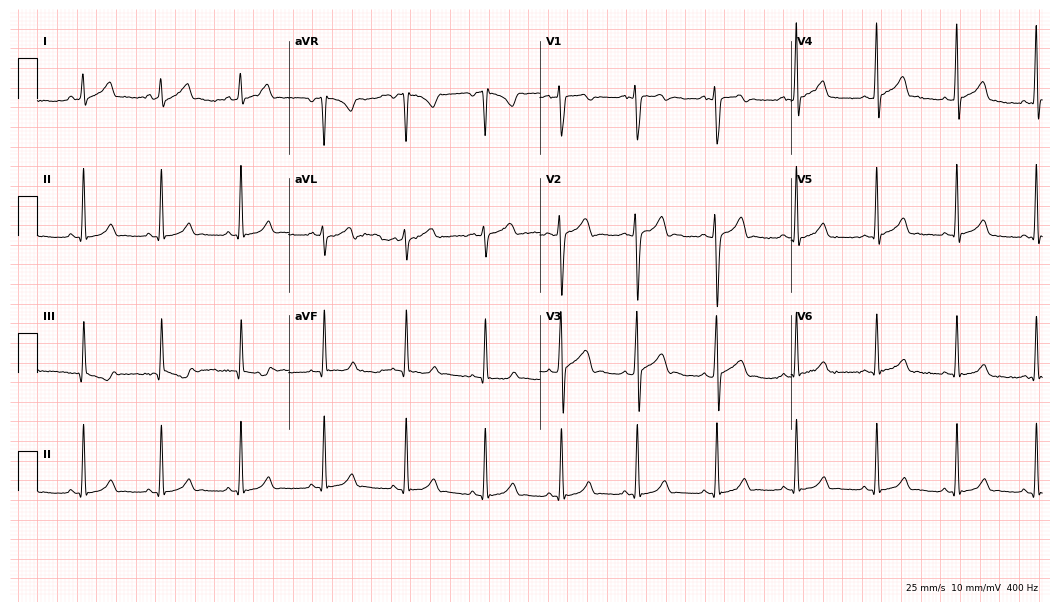
ECG — a 17-year-old male. Labelled as a normal ECG.